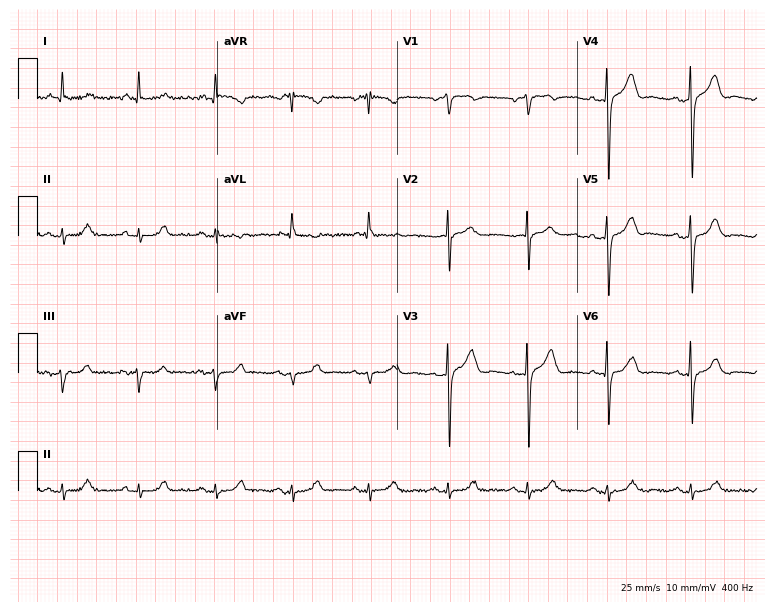
12-lead ECG (7.3-second recording at 400 Hz) from a 75-year-old male. Screened for six findings — first-degree AV block, right bundle branch block (RBBB), left bundle branch block (LBBB), sinus bradycardia, atrial fibrillation (AF), sinus tachycardia — none is recorded.